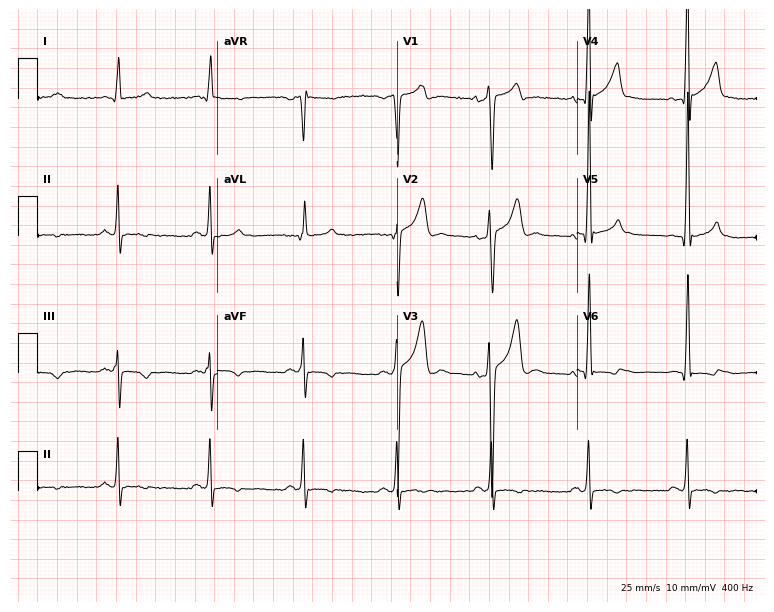
12-lead ECG from a 24-year-old man. No first-degree AV block, right bundle branch block (RBBB), left bundle branch block (LBBB), sinus bradycardia, atrial fibrillation (AF) or sinus tachycardia recorded for this tracing.